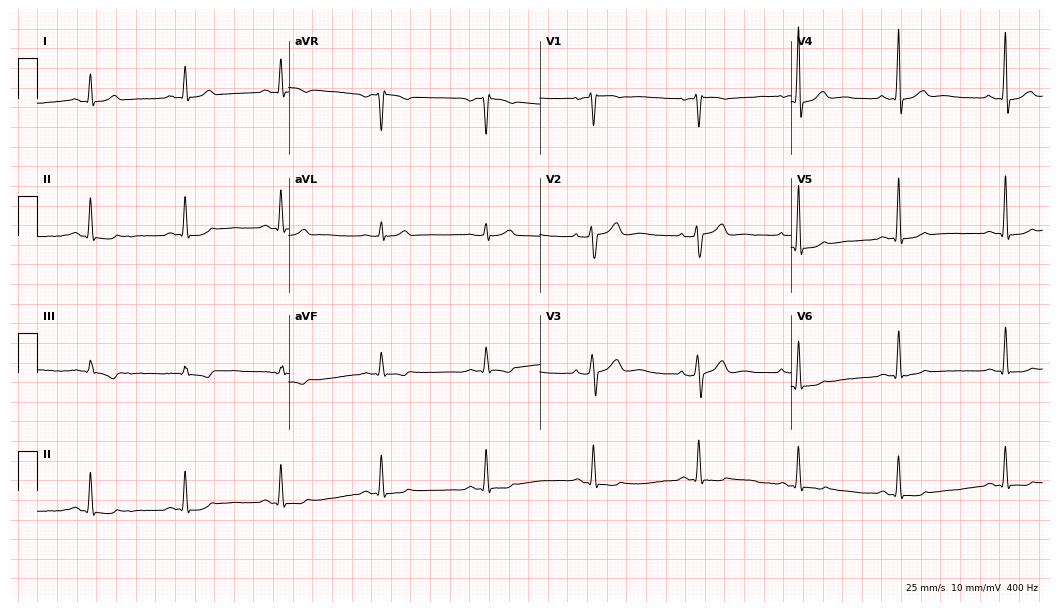
12-lead ECG from a 41-year-old male (10.2-second recording at 400 Hz). No first-degree AV block, right bundle branch block, left bundle branch block, sinus bradycardia, atrial fibrillation or sinus tachycardia recorded for this tracing.